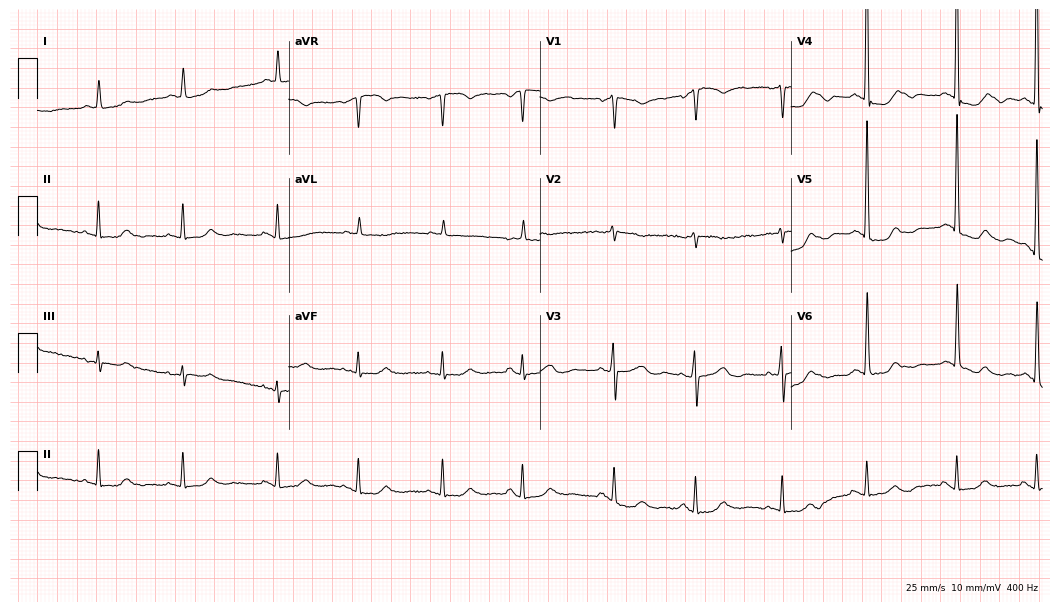
Resting 12-lead electrocardiogram. Patient: an 84-year-old female. None of these six findings is recorded: first-degree AV block, right bundle branch block, left bundle branch block, sinus bradycardia, atrial fibrillation, sinus tachycardia.